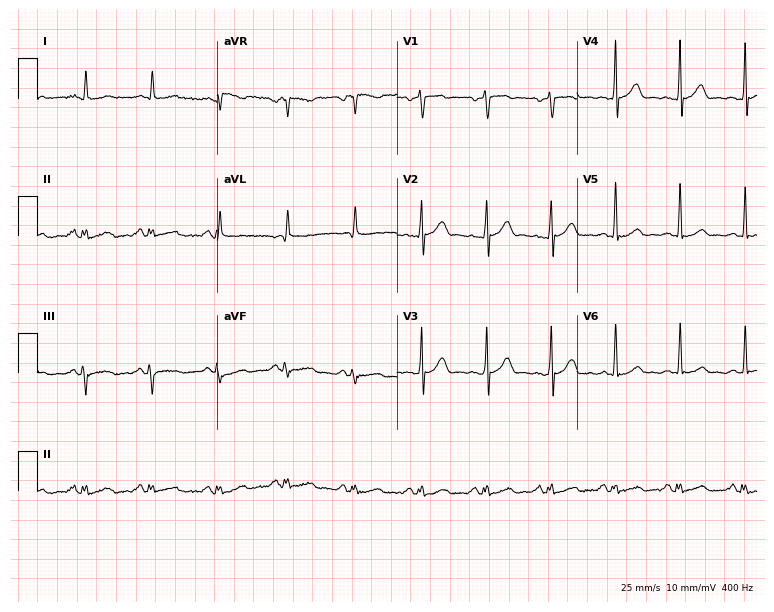
12-lead ECG from a man, 41 years old. Screened for six findings — first-degree AV block, right bundle branch block (RBBB), left bundle branch block (LBBB), sinus bradycardia, atrial fibrillation (AF), sinus tachycardia — none is recorded.